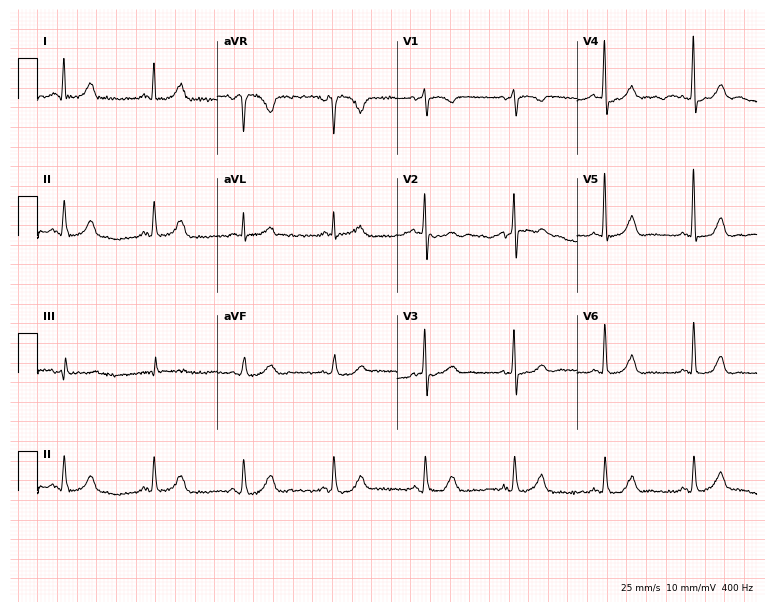
12-lead ECG from a 74-year-old woman (7.3-second recording at 400 Hz). No first-degree AV block, right bundle branch block (RBBB), left bundle branch block (LBBB), sinus bradycardia, atrial fibrillation (AF) or sinus tachycardia recorded for this tracing.